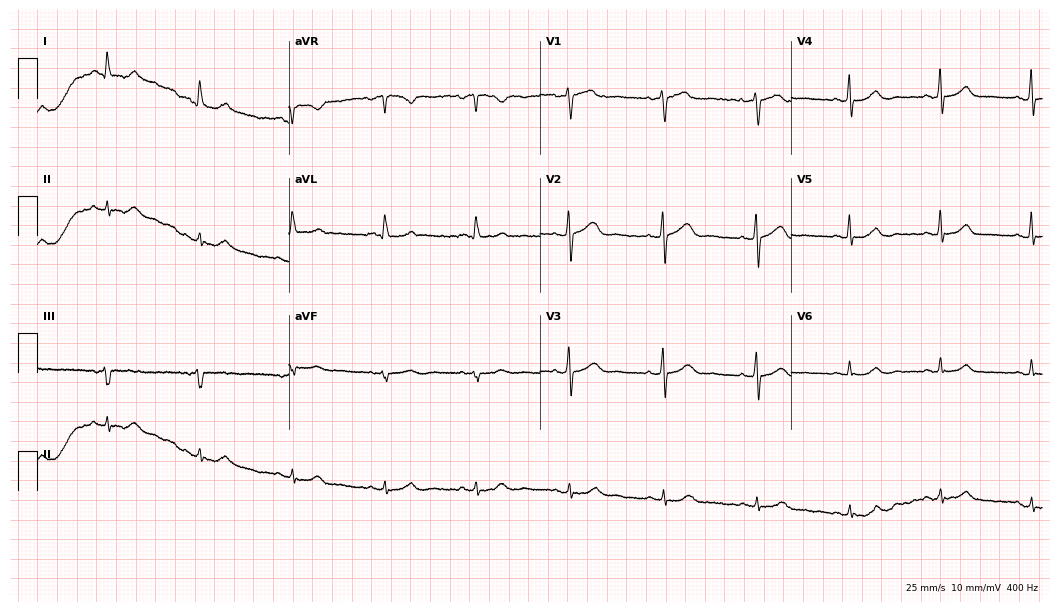
12-lead ECG from a female patient, 66 years old (10.2-second recording at 400 Hz). Recorded interpretation: within normal limits.